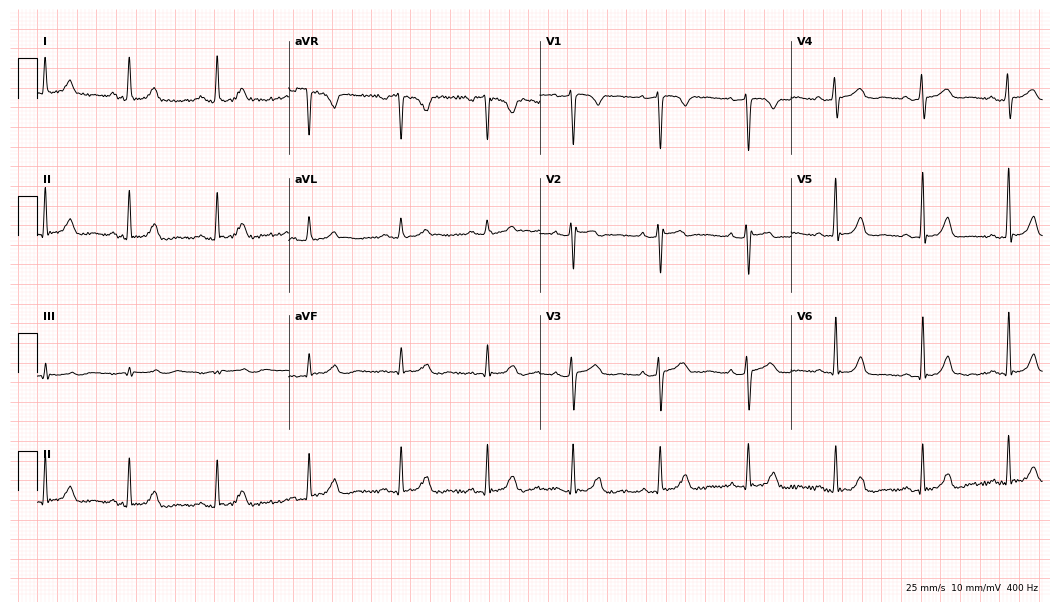
ECG (10.2-second recording at 400 Hz) — a 37-year-old female. Screened for six findings — first-degree AV block, right bundle branch block (RBBB), left bundle branch block (LBBB), sinus bradycardia, atrial fibrillation (AF), sinus tachycardia — none is recorded. Other findings, if any, are not listed.